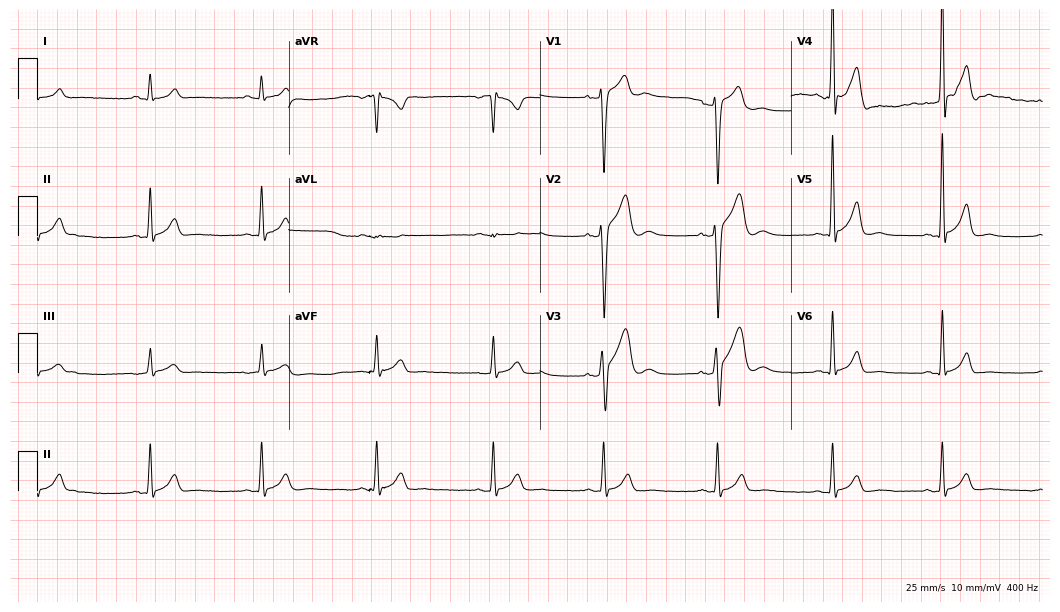
Resting 12-lead electrocardiogram. Patient: a man, 56 years old. None of these six findings is recorded: first-degree AV block, right bundle branch block (RBBB), left bundle branch block (LBBB), sinus bradycardia, atrial fibrillation (AF), sinus tachycardia.